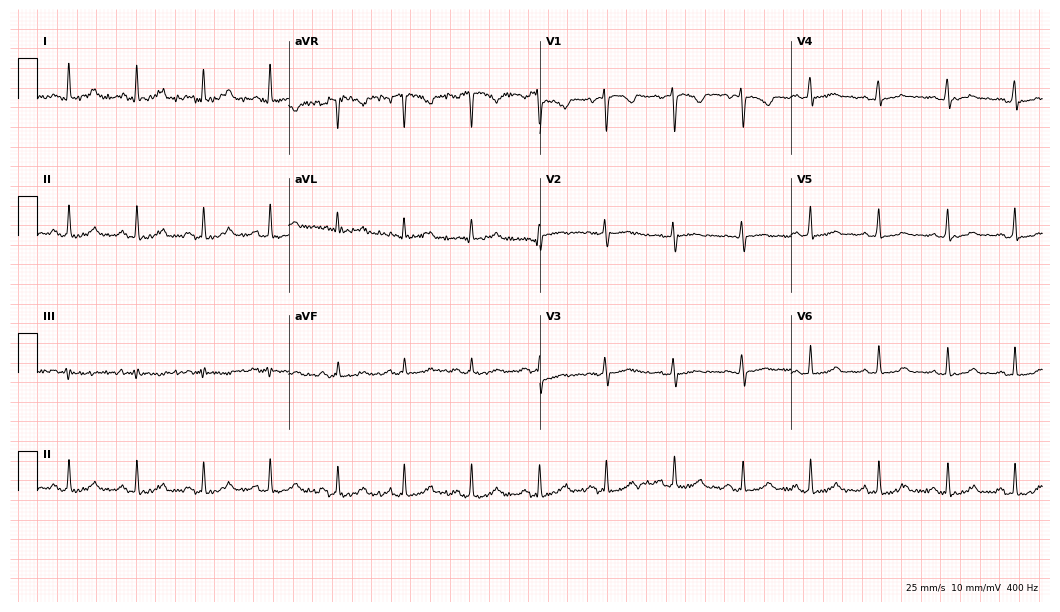
Electrocardiogram, a 24-year-old female. Overall reading on record: normal ECG.